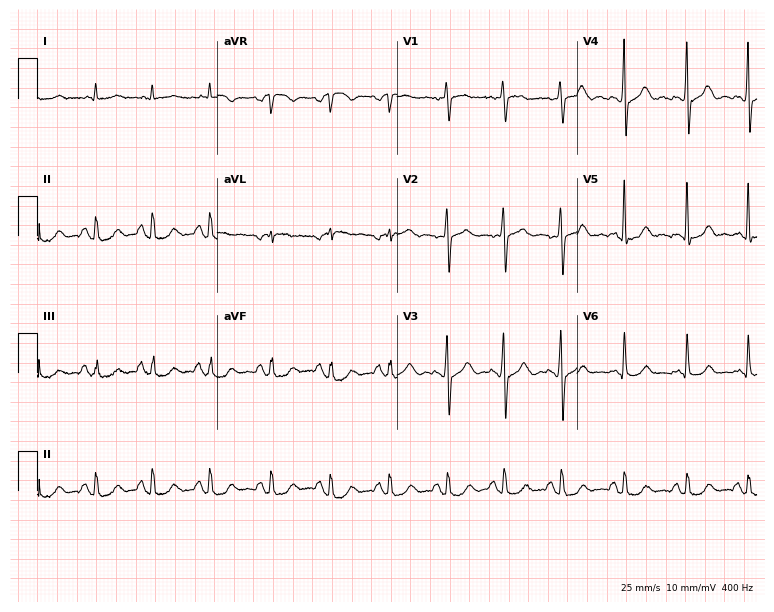
Electrocardiogram (7.3-second recording at 400 Hz), a 64-year-old male. Of the six screened findings (first-degree AV block, right bundle branch block, left bundle branch block, sinus bradycardia, atrial fibrillation, sinus tachycardia), none is recorded.